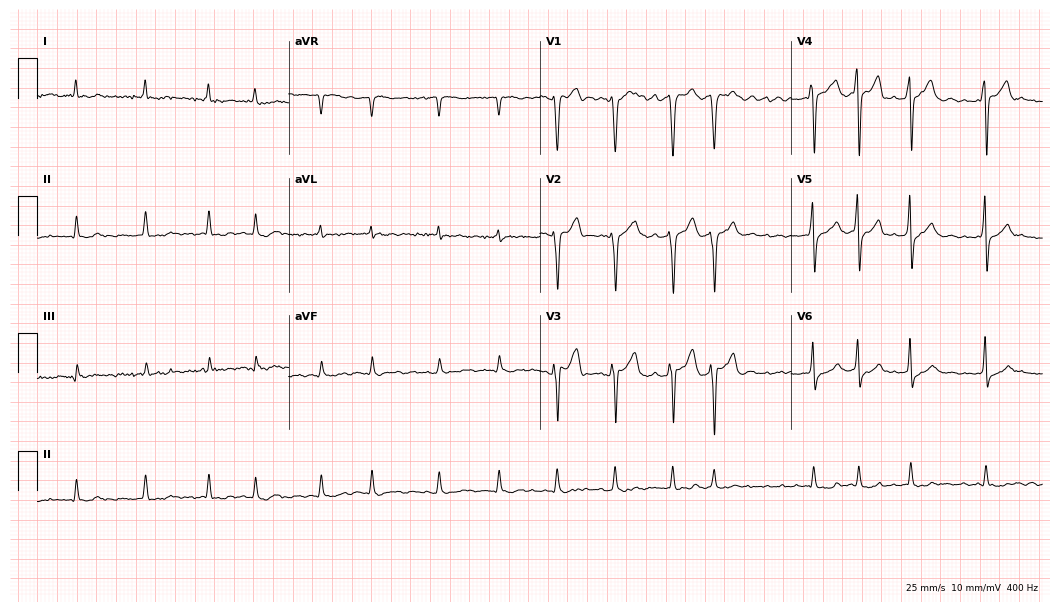
ECG (10.2-second recording at 400 Hz) — a 64-year-old man. Findings include atrial fibrillation (AF).